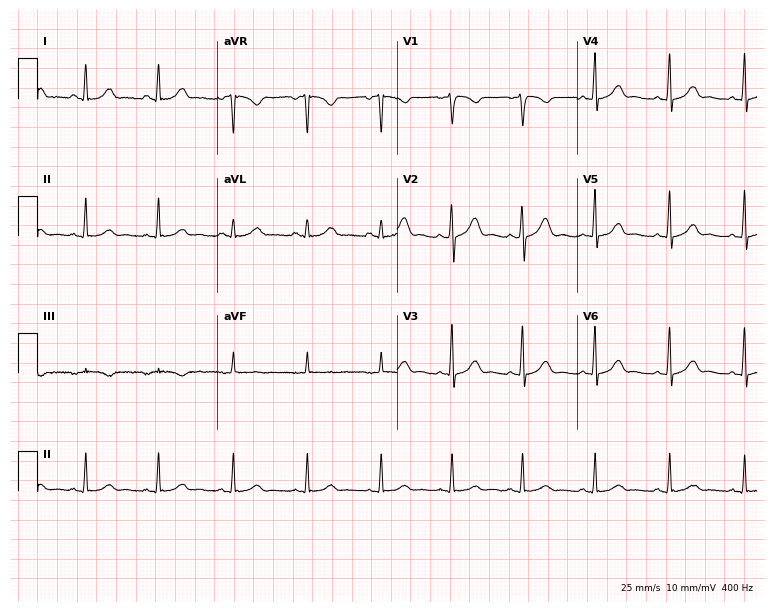
Standard 12-lead ECG recorded from a 22-year-old female (7.3-second recording at 400 Hz). Read as a normal ECG.